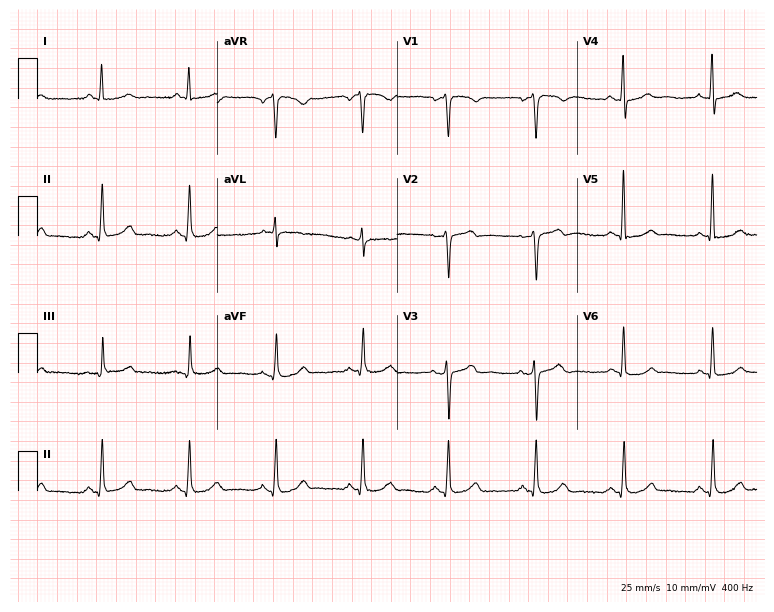
Electrocardiogram (7.3-second recording at 400 Hz), a female, 51 years old. Overall reading on record: normal ECG.